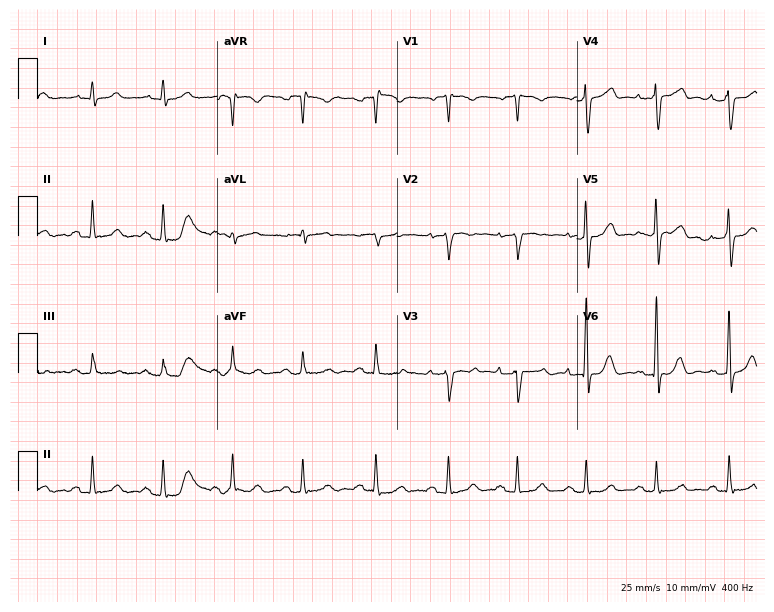
12-lead ECG from a 72-year-old male patient. Screened for six findings — first-degree AV block, right bundle branch block, left bundle branch block, sinus bradycardia, atrial fibrillation, sinus tachycardia — none is recorded. Findings outside these six are not listed.